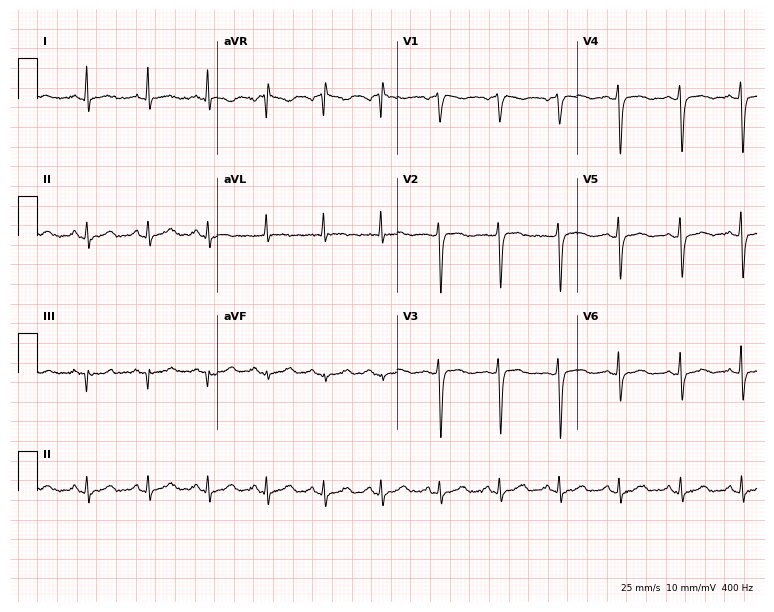
12-lead ECG (7.3-second recording at 400 Hz) from a female, 65 years old. Screened for six findings — first-degree AV block, right bundle branch block, left bundle branch block, sinus bradycardia, atrial fibrillation, sinus tachycardia — none is recorded. Findings outside these six are not listed.